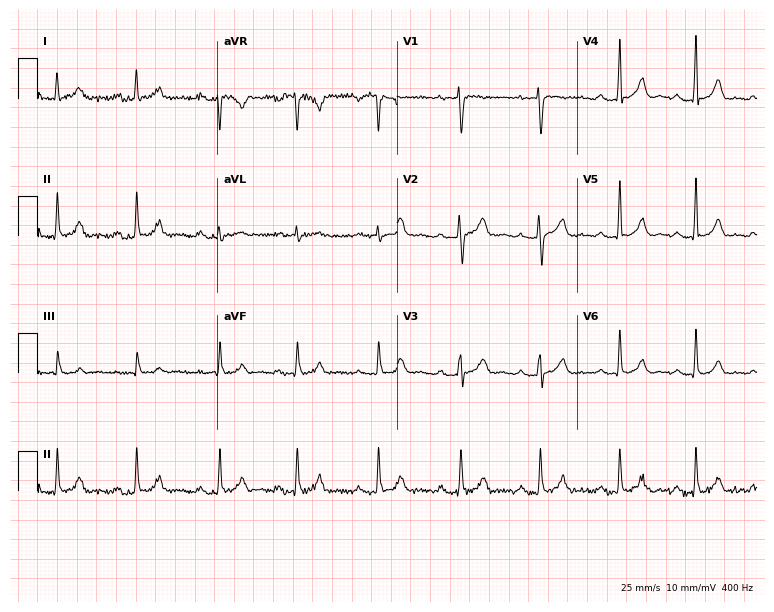
ECG — a woman, 28 years old. Labelled as a normal ECG.